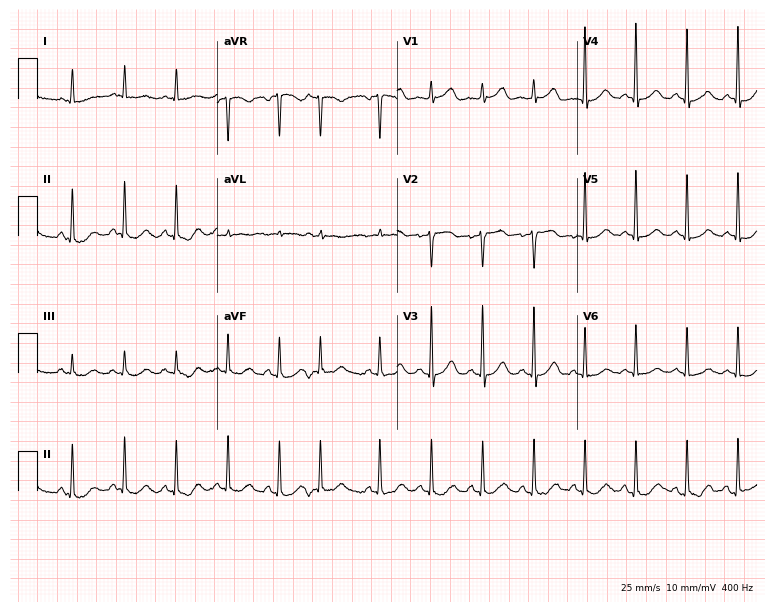
Standard 12-lead ECG recorded from a female, 83 years old (7.3-second recording at 400 Hz). None of these six findings is recorded: first-degree AV block, right bundle branch block (RBBB), left bundle branch block (LBBB), sinus bradycardia, atrial fibrillation (AF), sinus tachycardia. Findings outside these six are not listed.